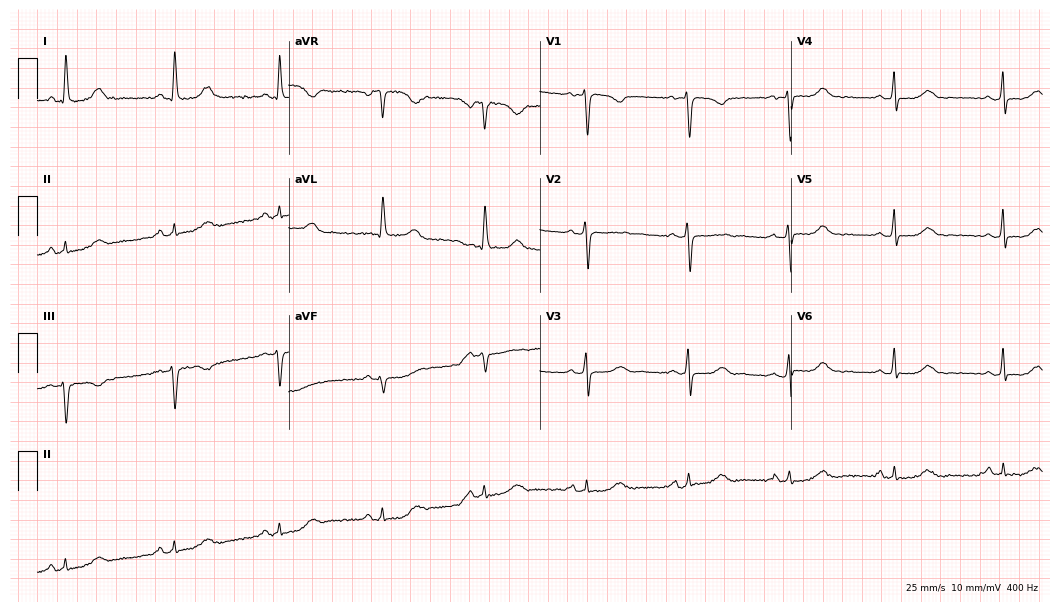
ECG (10.2-second recording at 400 Hz) — a 75-year-old female. Labelled as a normal ECG.